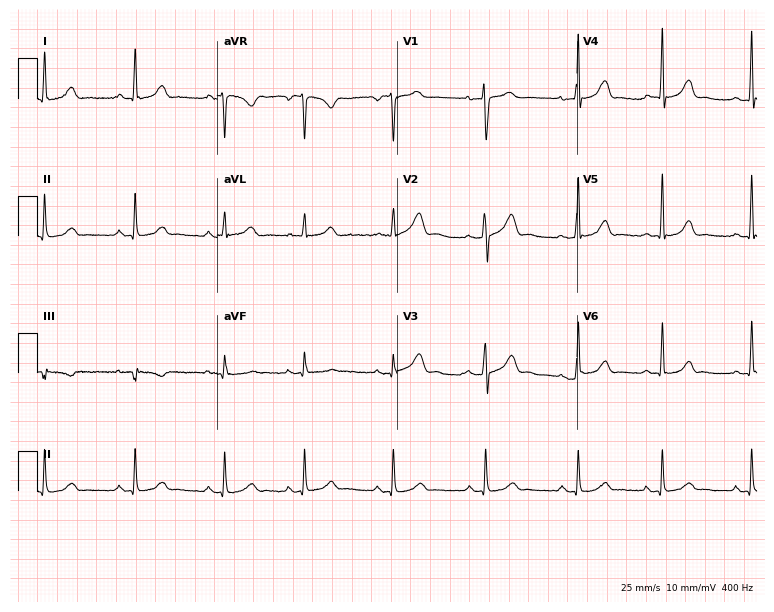
ECG — a female patient, 36 years old. Screened for six findings — first-degree AV block, right bundle branch block, left bundle branch block, sinus bradycardia, atrial fibrillation, sinus tachycardia — none is recorded.